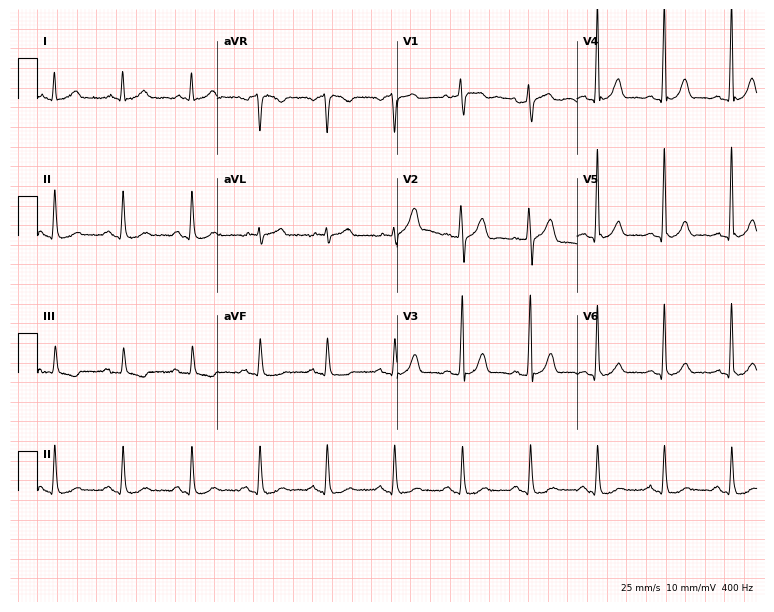
Electrocardiogram, a 79-year-old male. Overall reading on record: normal ECG.